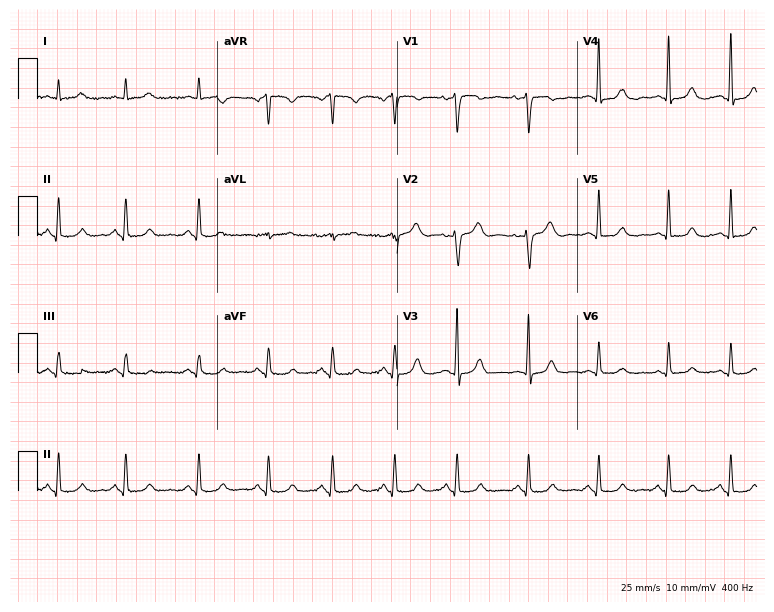
12-lead ECG (7.3-second recording at 400 Hz) from a 49-year-old female. Labelled as a normal ECG.